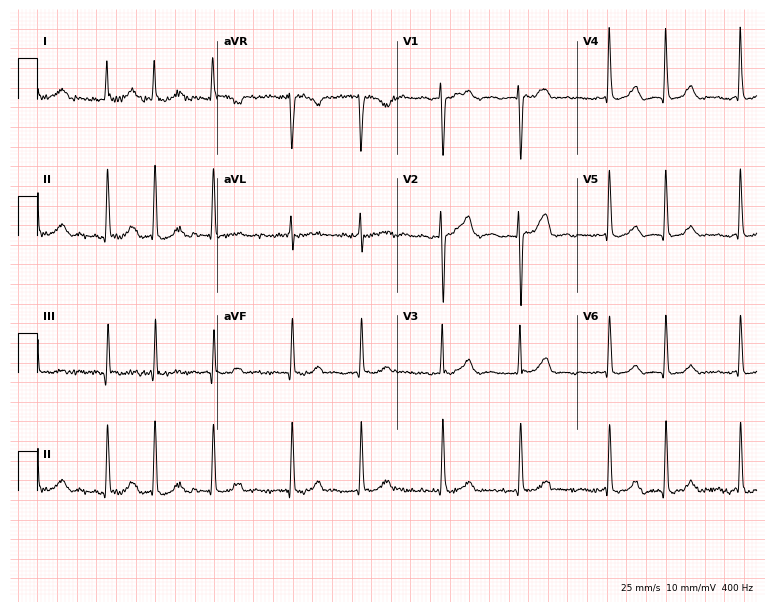
ECG — a female, 68 years old. Findings include atrial fibrillation (AF).